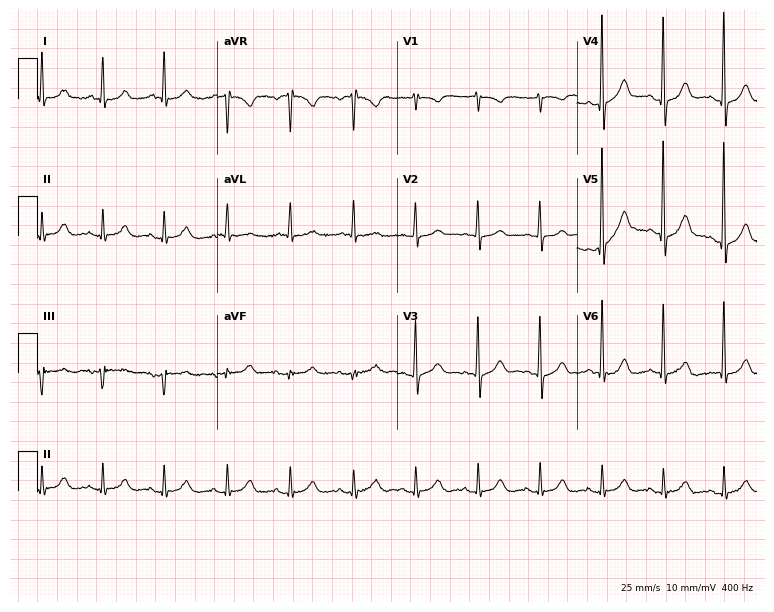
12-lead ECG from a female patient, 75 years old (7.3-second recording at 400 Hz). No first-degree AV block, right bundle branch block (RBBB), left bundle branch block (LBBB), sinus bradycardia, atrial fibrillation (AF) or sinus tachycardia recorded for this tracing. Only these six findings were labelled.